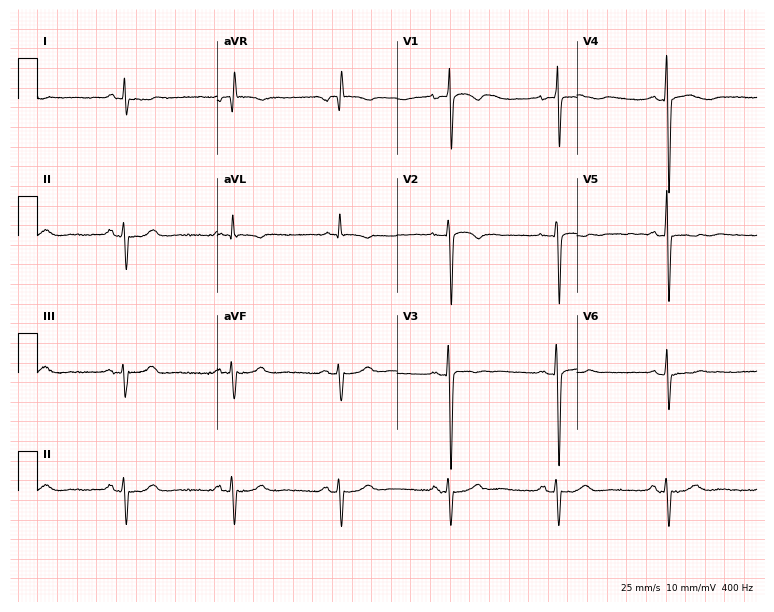
12-lead ECG from a 59-year-old man. Screened for six findings — first-degree AV block, right bundle branch block (RBBB), left bundle branch block (LBBB), sinus bradycardia, atrial fibrillation (AF), sinus tachycardia — none is recorded.